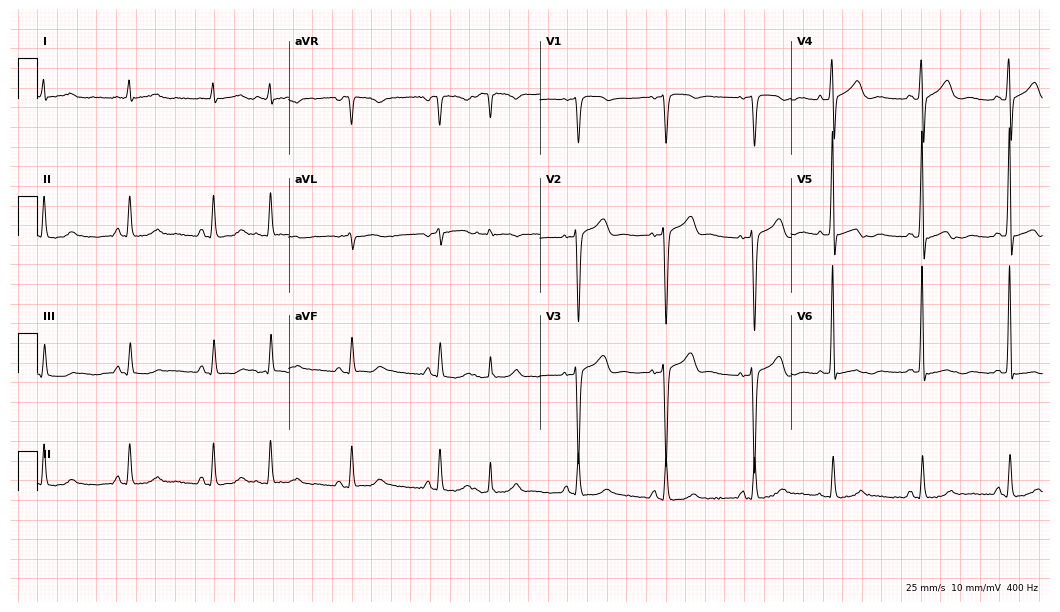
Standard 12-lead ECG recorded from a 75-year-old male patient (10.2-second recording at 400 Hz). None of these six findings is recorded: first-degree AV block, right bundle branch block (RBBB), left bundle branch block (LBBB), sinus bradycardia, atrial fibrillation (AF), sinus tachycardia. Other findings, if any, are not listed.